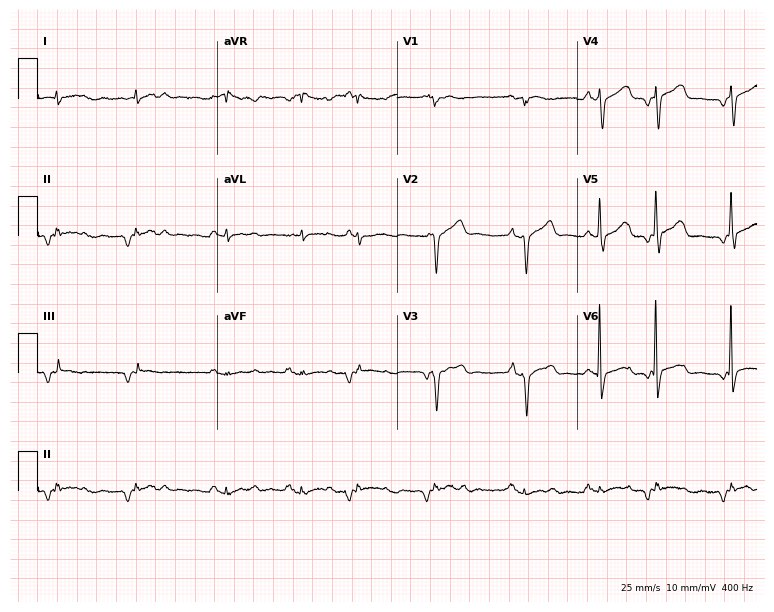
Standard 12-lead ECG recorded from a woman, 76 years old (7.3-second recording at 400 Hz). None of these six findings is recorded: first-degree AV block, right bundle branch block, left bundle branch block, sinus bradycardia, atrial fibrillation, sinus tachycardia. Other findings, if any, are not listed.